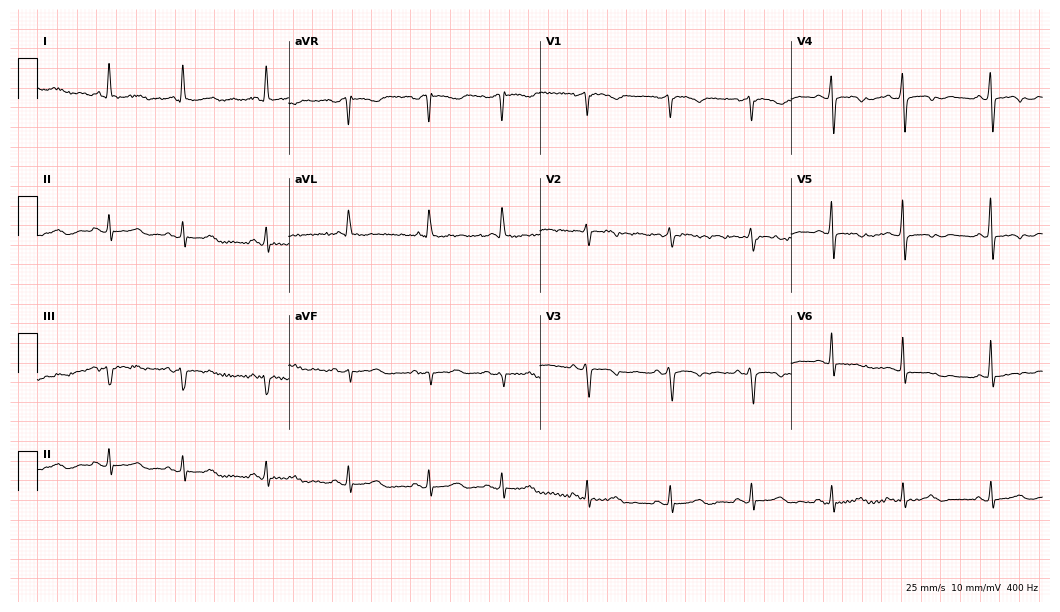
Standard 12-lead ECG recorded from a female patient, 78 years old (10.2-second recording at 400 Hz). None of these six findings is recorded: first-degree AV block, right bundle branch block (RBBB), left bundle branch block (LBBB), sinus bradycardia, atrial fibrillation (AF), sinus tachycardia. Other findings, if any, are not listed.